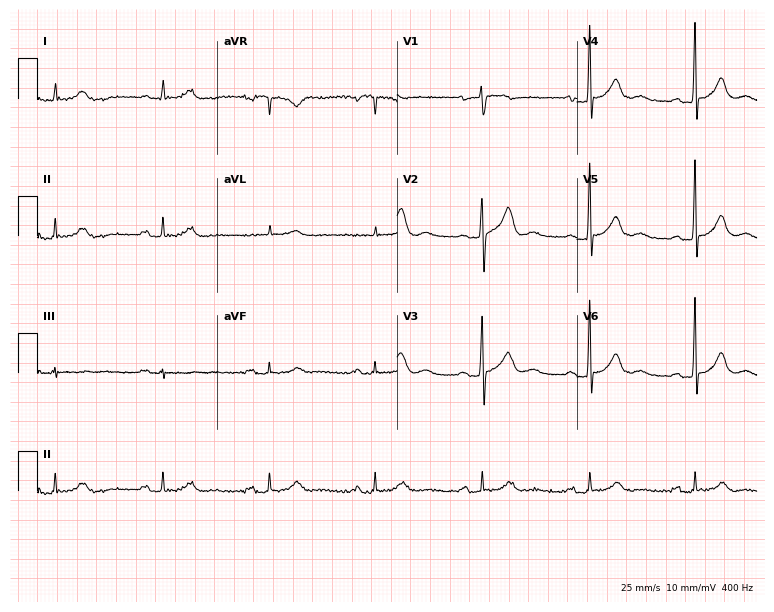
12-lead ECG from a 66-year-old man (7.3-second recording at 400 Hz). Shows first-degree AV block.